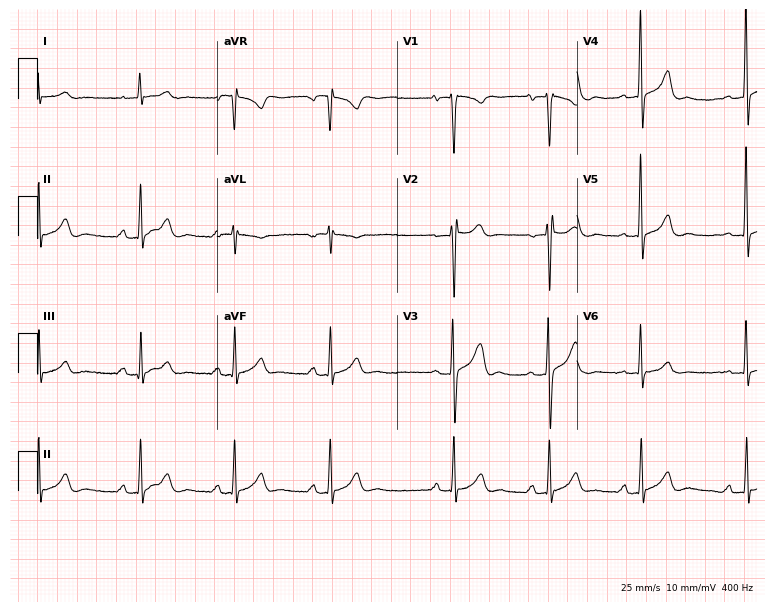
12-lead ECG from a 20-year-old man. Labelled as a normal ECG.